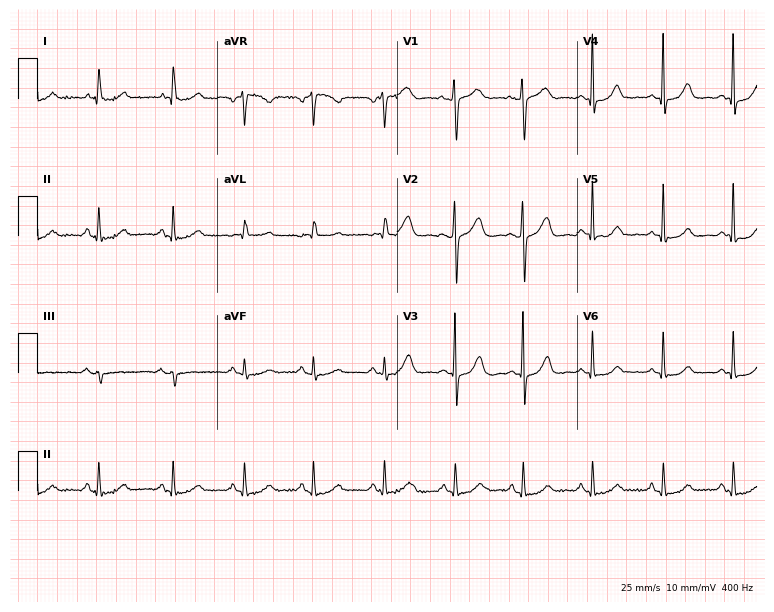
12-lead ECG (7.3-second recording at 400 Hz) from a 38-year-old female. Screened for six findings — first-degree AV block, right bundle branch block, left bundle branch block, sinus bradycardia, atrial fibrillation, sinus tachycardia — none is recorded.